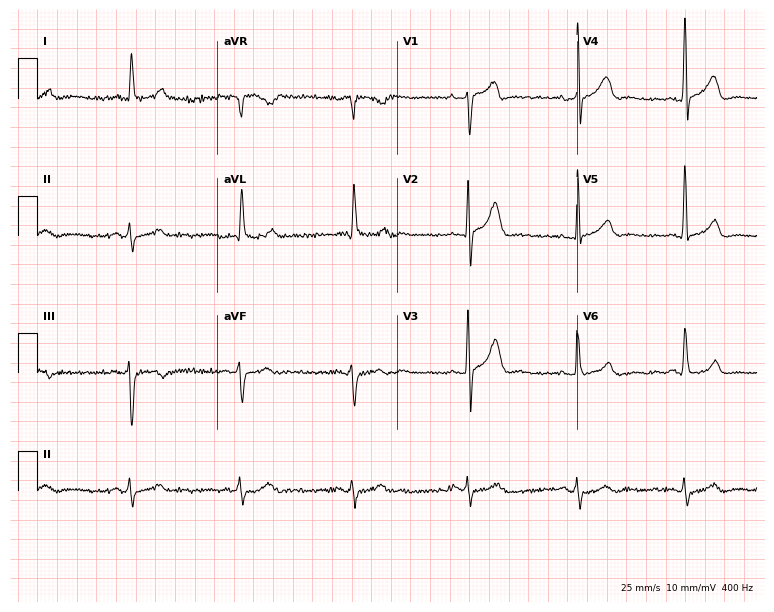
ECG — a 73-year-old man. Screened for six findings — first-degree AV block, right bundle branch block, left bundle branch block, sinus bradycardia, atrial fibrillation, sinus tachycardia — none is recorded. Findings outside these six are not listed.